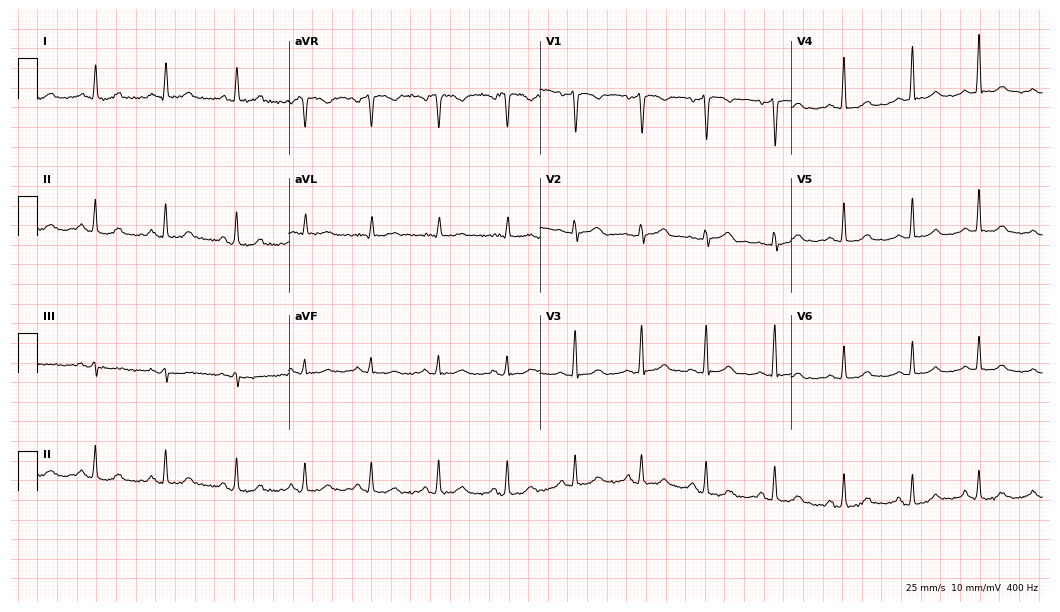
ECG (10.2-second recording at 400 Hz) — a woman, 61 years old. Labelled as a normal ECG.